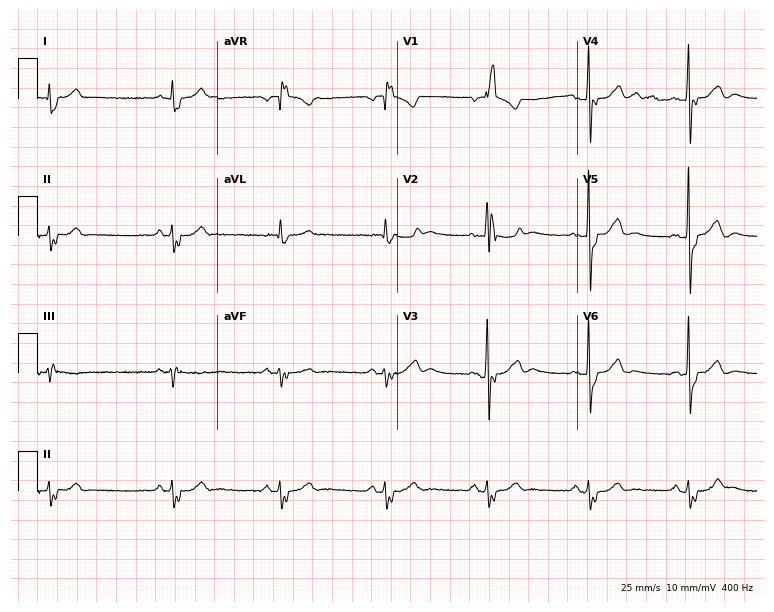
Resting 12-lead electrocardiogram. Patient: a 76-year-old female. The tracing shows right bundle branch block.